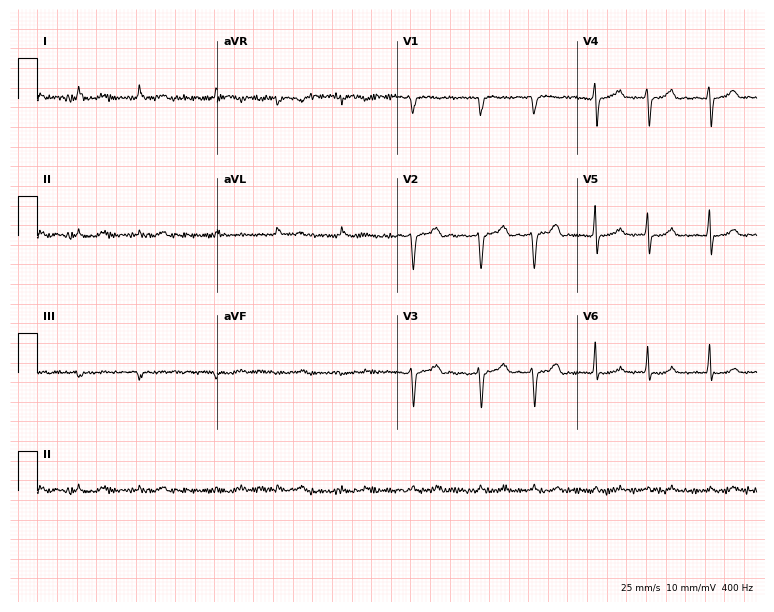
ECG — a male, 69 years old. Findings include atrial fibrillation (AF).